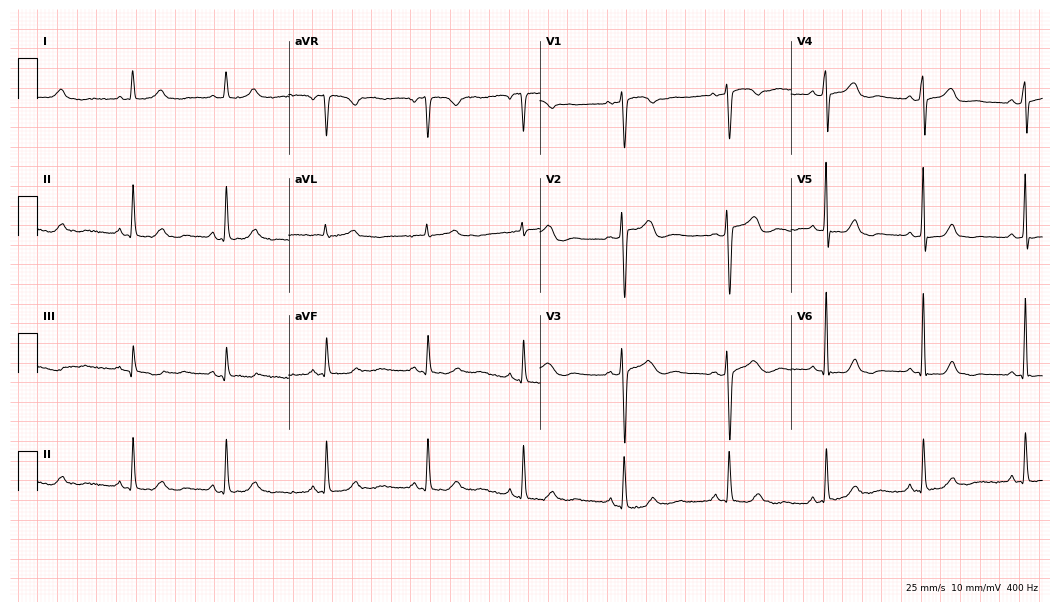
ECG — a female patient, 52 years old. Screened for six findings — first-degree AV block, right bundle branch block, left bundle branch block, sinus bradycardia, atrial fibrillation, sinus tachycardia — none is recorded. Other findings, if any, are not listed.